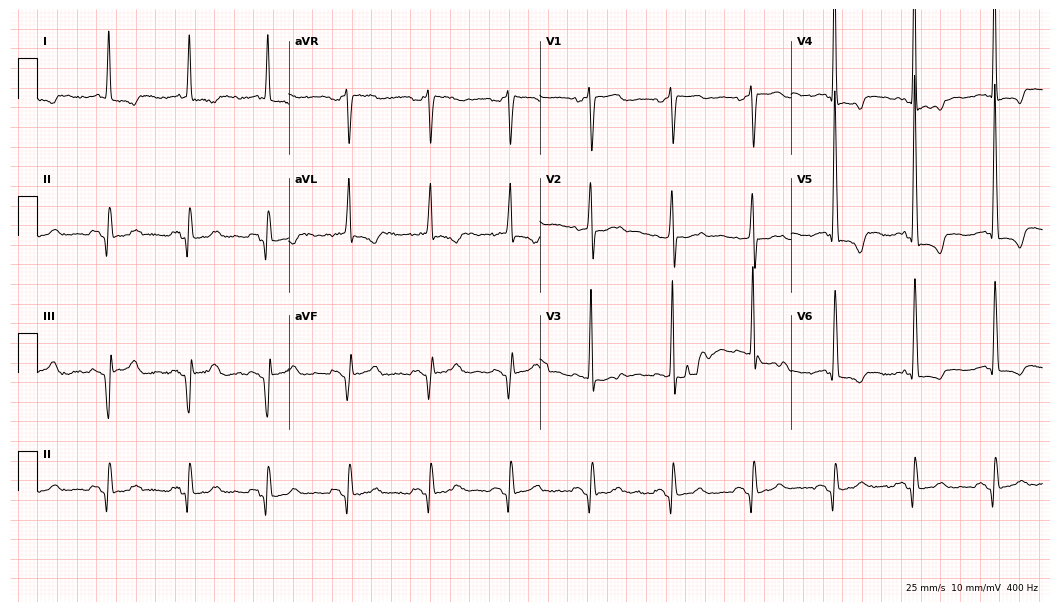
12-lead ECG from a female, 68 years old. No first-degree AV block, right bundle branch block, left bundle branch block, sinus bradycardia, atrial fibrillation or sinus tachycardia recorded for this tracing. Only these six findings were labelled.